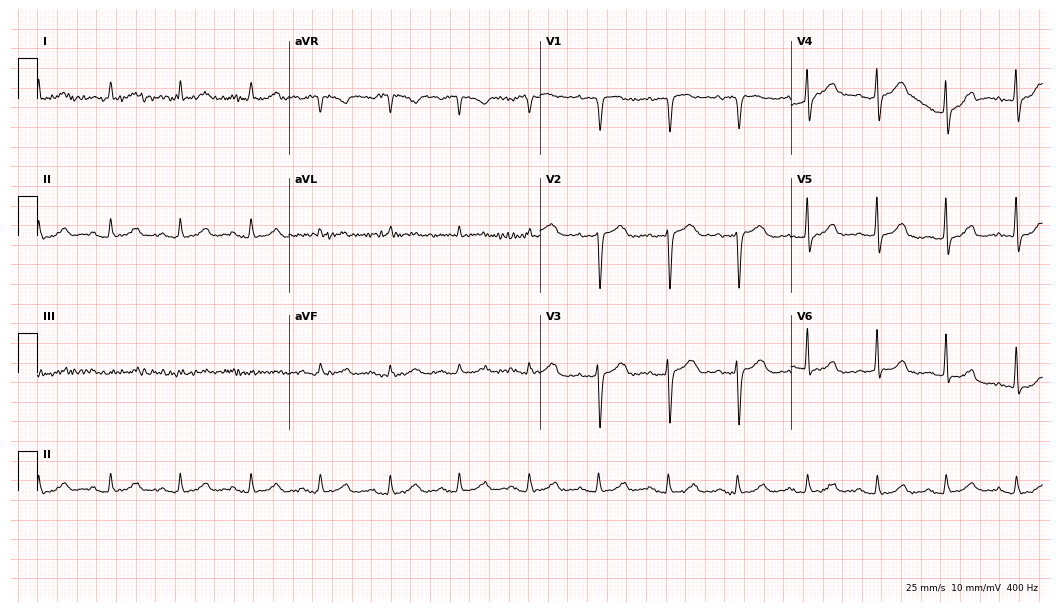
ECG — a woman, 83 years old. Labelled as a normal ECG.